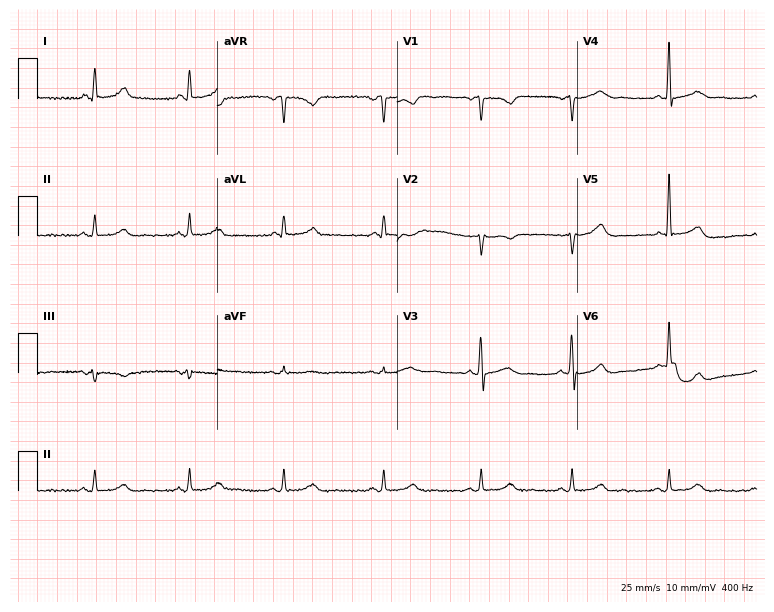
Electrocardiogram, a woman, 51 years old. Overall reading on record: normal ECG.